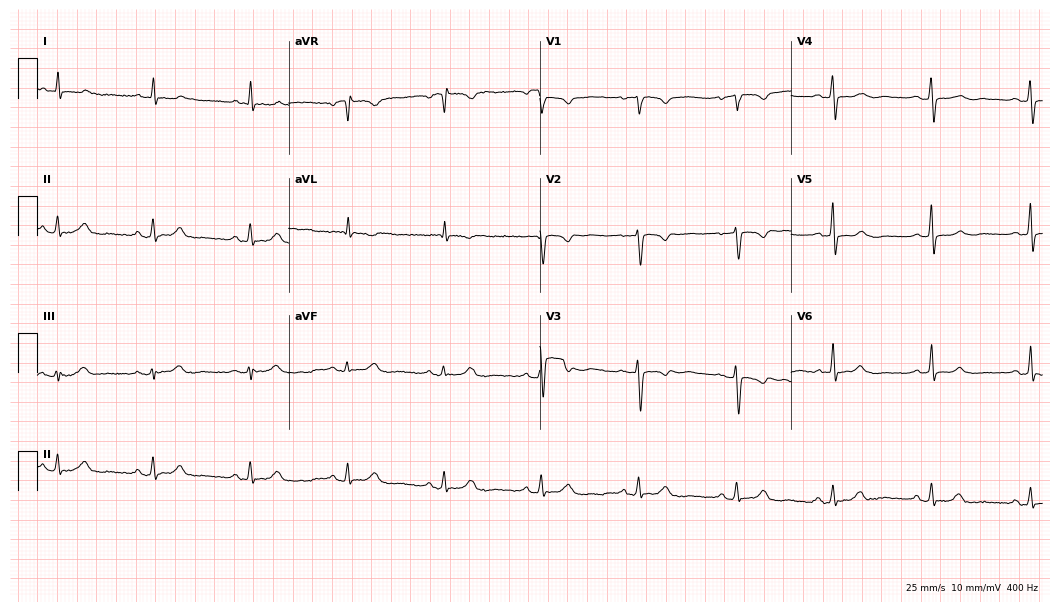
ECG (10.2-second recording at 400 Hz) — a female patient, 56 years old. Labelled as a normal ECG.